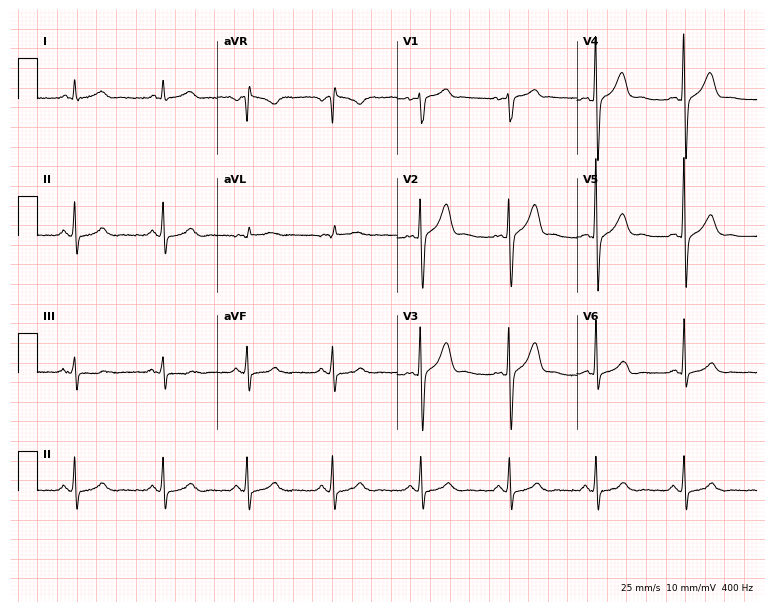
12-lead ECG from a 45-year-old male (7.3-second recording at 400 Hz). Recorded interpretation: within normal limits.